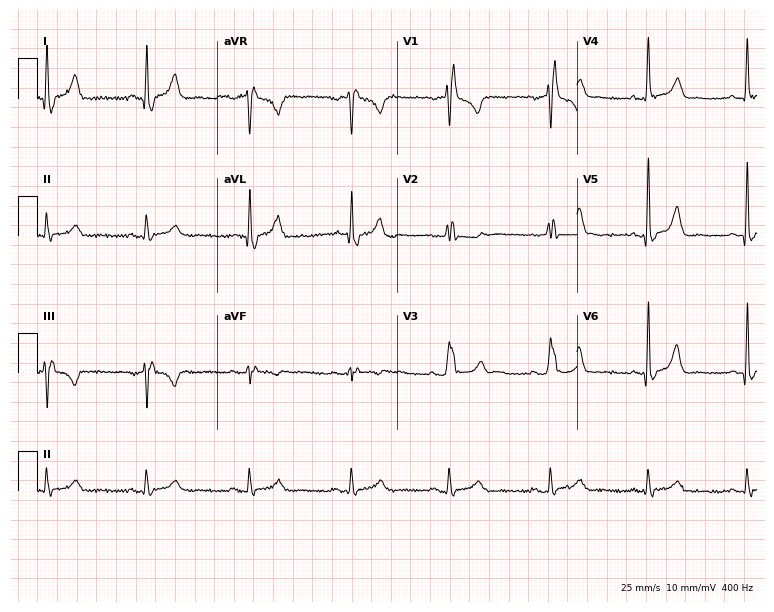
12-lead ECG from a 55-year-old man. Screened for six findings — first-degree AV block, right bundle branch block, left bundle branch block, sinus bradycardia, atrial fibrillation, sinus tachycardia — none is recorded. Only these six findings were labelled.